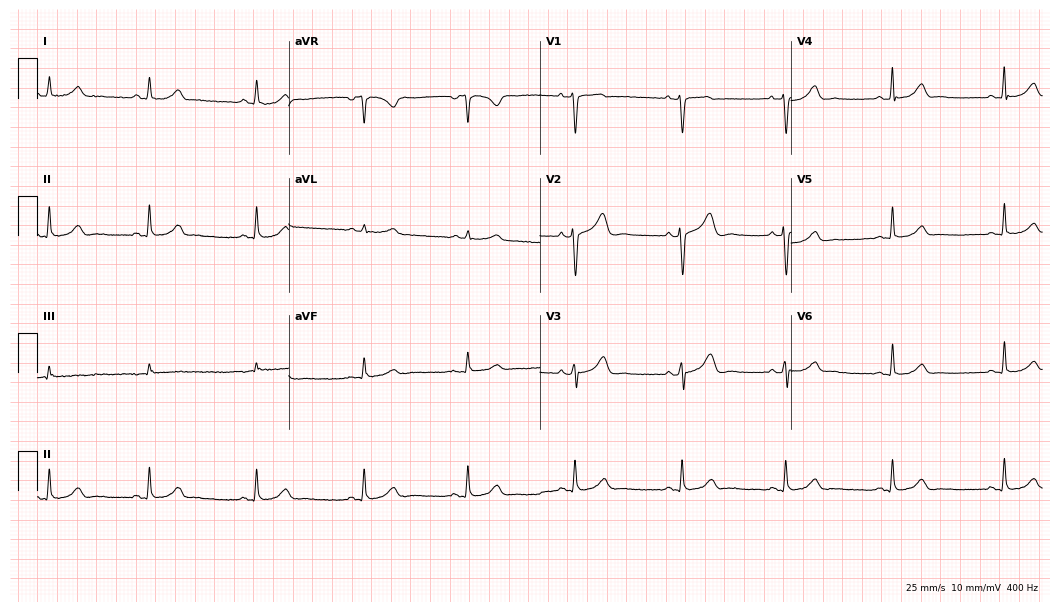
12-lead ECG from a woman, 40 years old. Screened for six findings — first-degree AV block, right bundle branch block, left bundle branch block, sinus bradycardia, atrial fibrillation, sinus tachycardia — none is recorded.